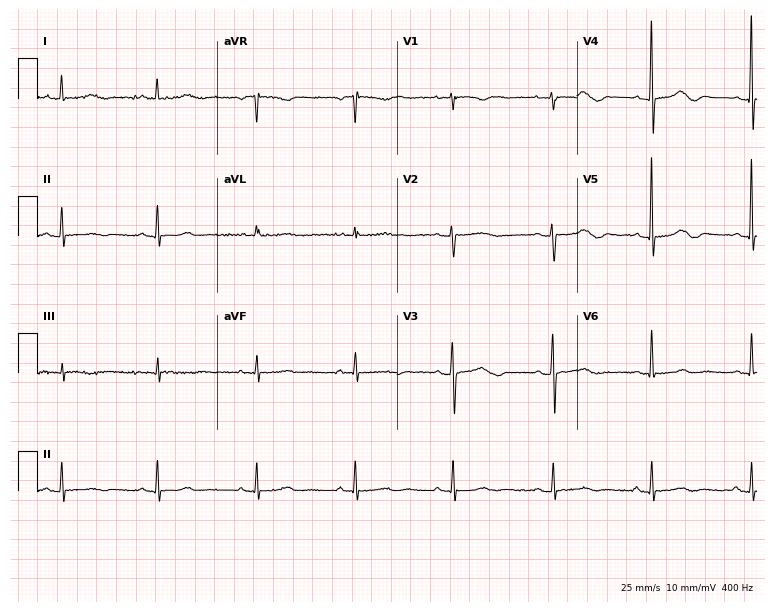
12-lead ECG (7.3-second recording at 400 Hz) from a 77-year-old female. Labelled as a normal ECG.